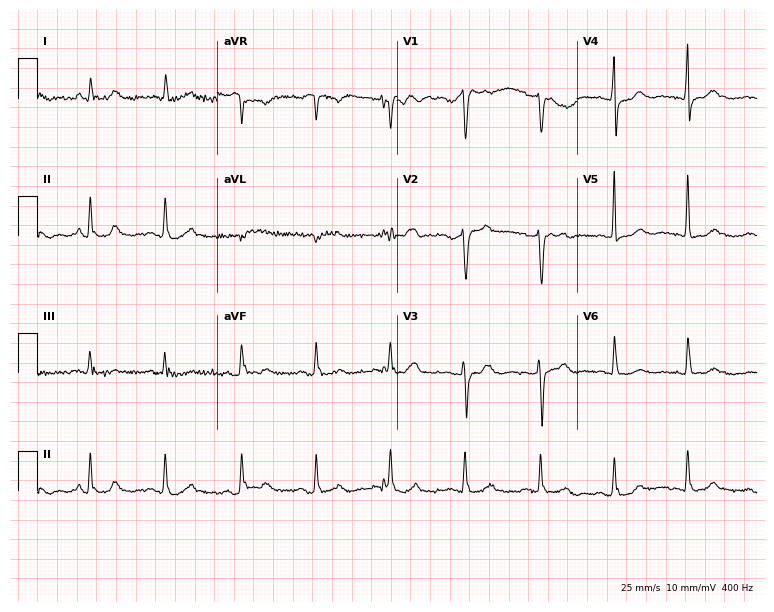
Electrocardiogram, a man, 59 years old. Of the six screened findings (first-degree AV block, right bundle branch block, left bundle branch block, sinus bradycardia, atrial fibrillation, sinus tachycardia), none is recorded.